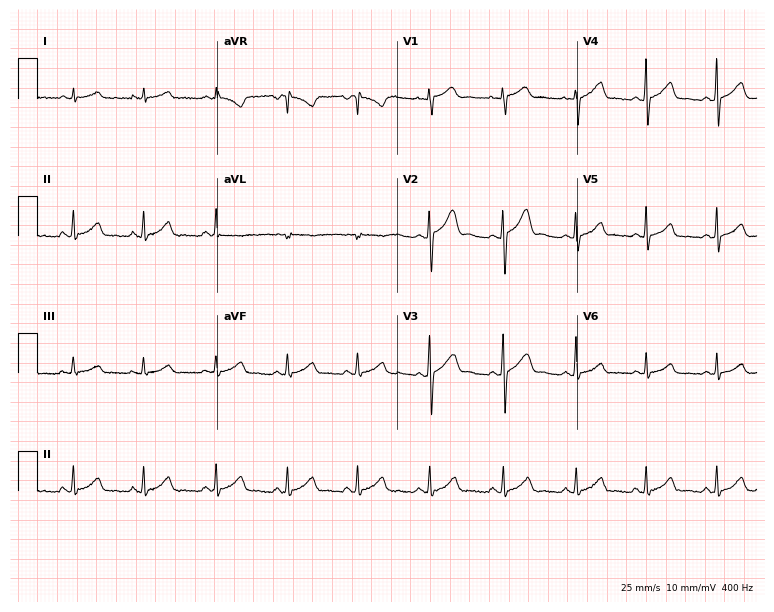
12-lead ECG from a 23-year-old woman (7.3-second recording at 400 Hz). Recorded interpretation: within normal limits.